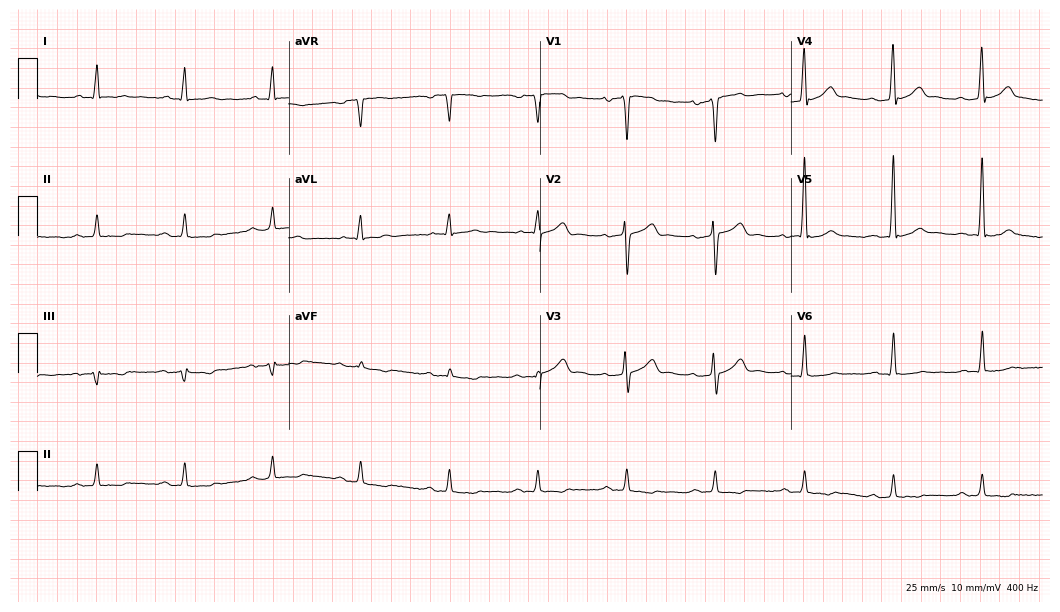
12-lead ECG from a male, 69 years old (10.2-second recording at 400 Hz). No first-degree AV block, right bundle branch block (RBBB), left bundle branch block (LBBB), sinus bradycardia, atrial fibrillation (AF) or sinus tachycardia recorded for this tracing. Findings outside these six are not listed.